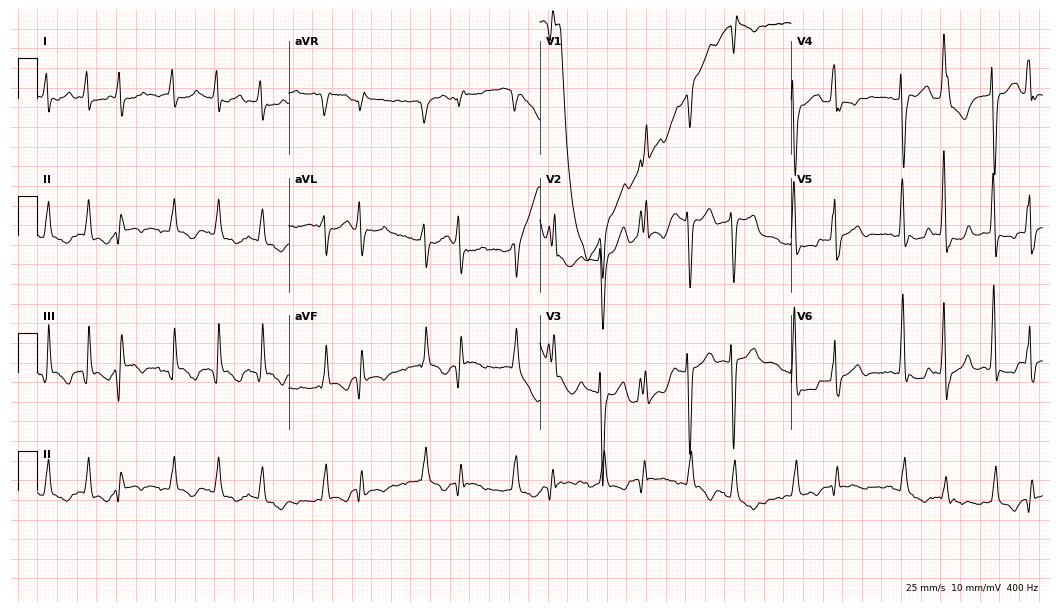
ECG — a 71-year-old female. Findings include atrial fibrillation.